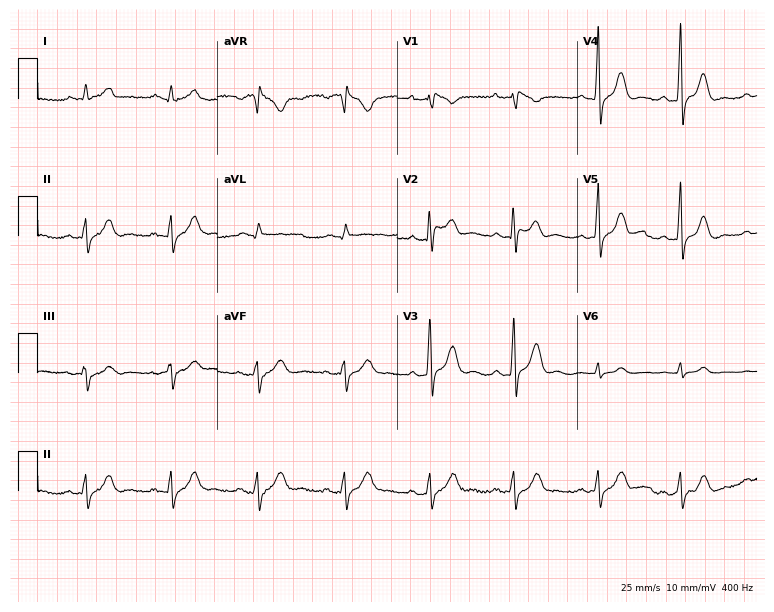
ECG — a male patient, 63 years old. Labelled as a normal ECG.